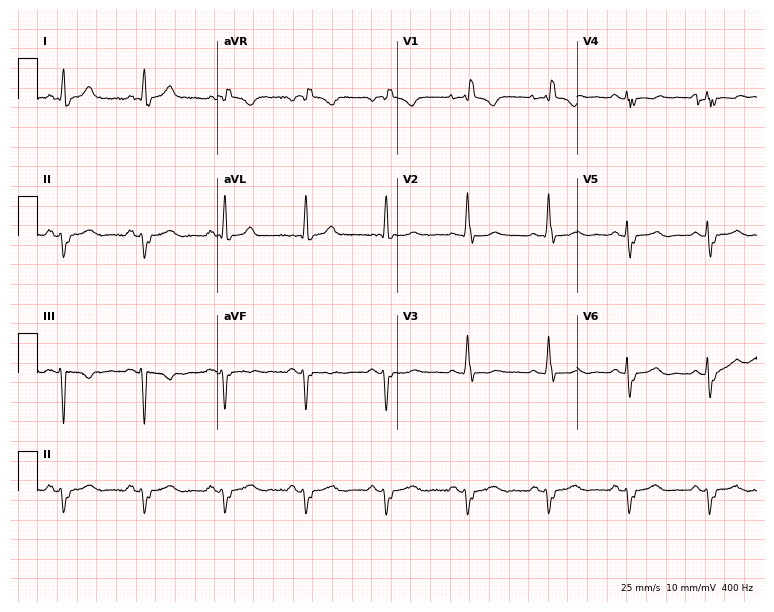
Standard 12-lead ECG recorded from a 58-year-old woman. The tracing shows right bundle branch block (RBBB).